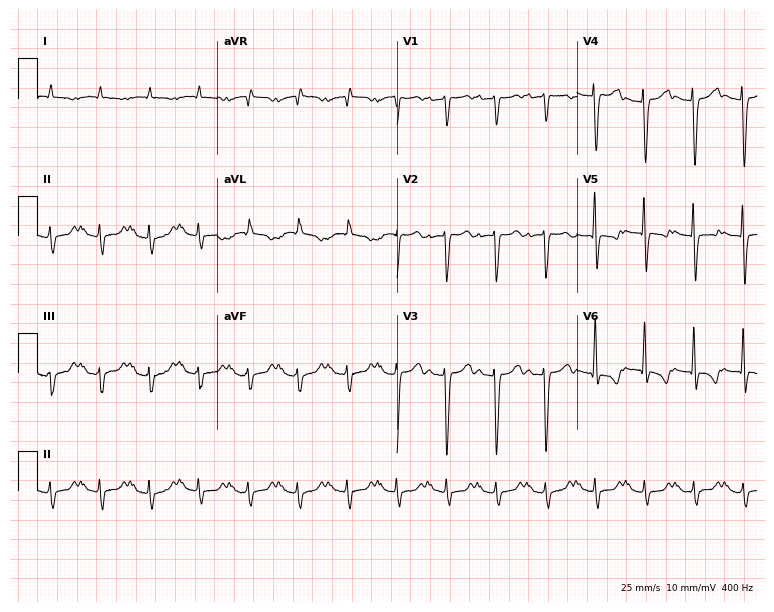
Resting 12-lead electrocardiogram. Patient: a 37-year-old female. None of these six findings is recorded: first-degree AV block, right bundle branch block, left bundle branch block, sinus bradycardia, atrial fibrillation, sinus tachycardia. Findings outside these six are not listed.